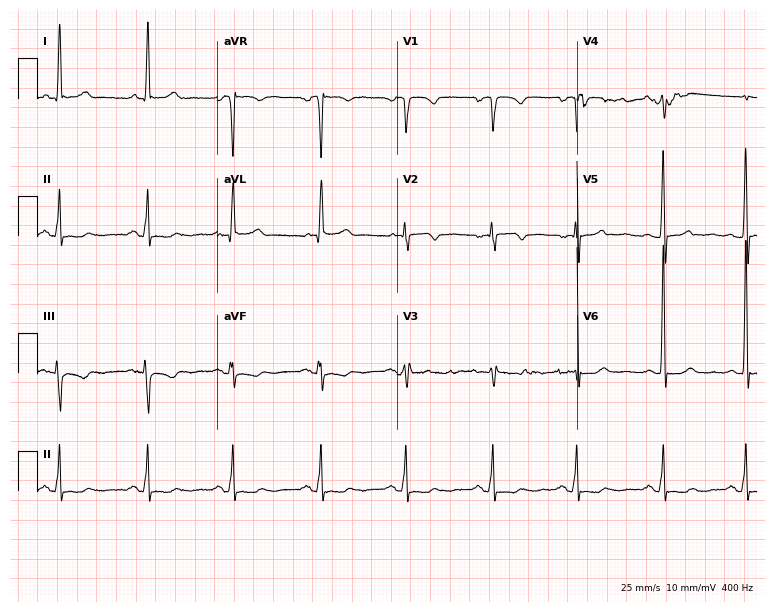
12-lead ECG from a 64-year-old woman. Screened for six findings — first-degree AV block, right bundle branch block, left bundle branch block, sinus bradycardia, atrial fibrillation, sinus tachycardia — none is recorded.